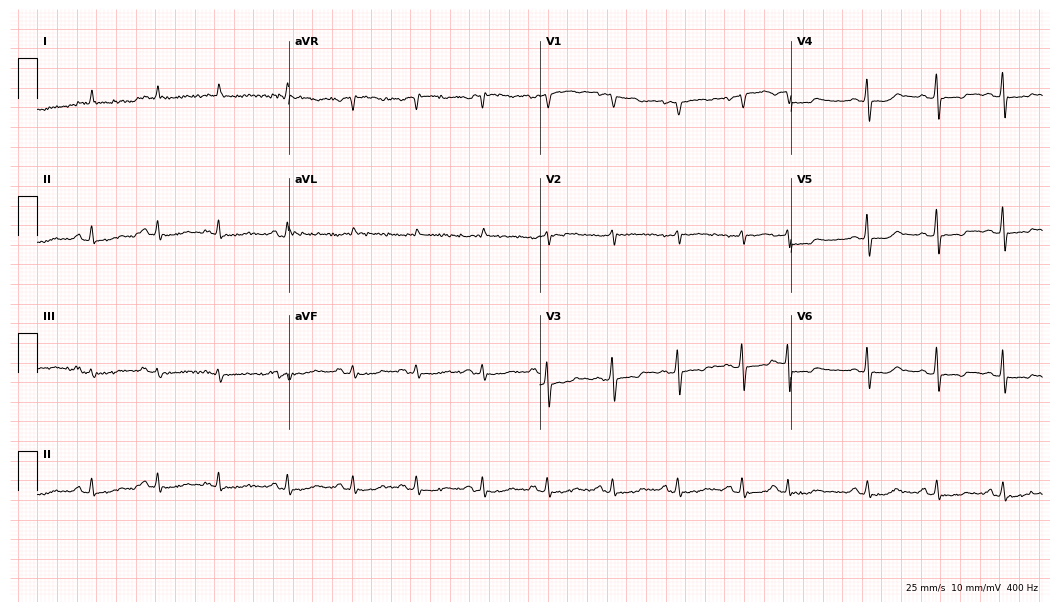
Standard 12-lead ECG recorded from a 77-year-old male patient (10.2-second recording at 400 Hz). None of these six findings is recorded: first-degree AV block, right bundle branch block, left bundle branch block, sinus bradycardia, atrial fibrillation, sinus tachycardia. Other findings, if any, are not listed.